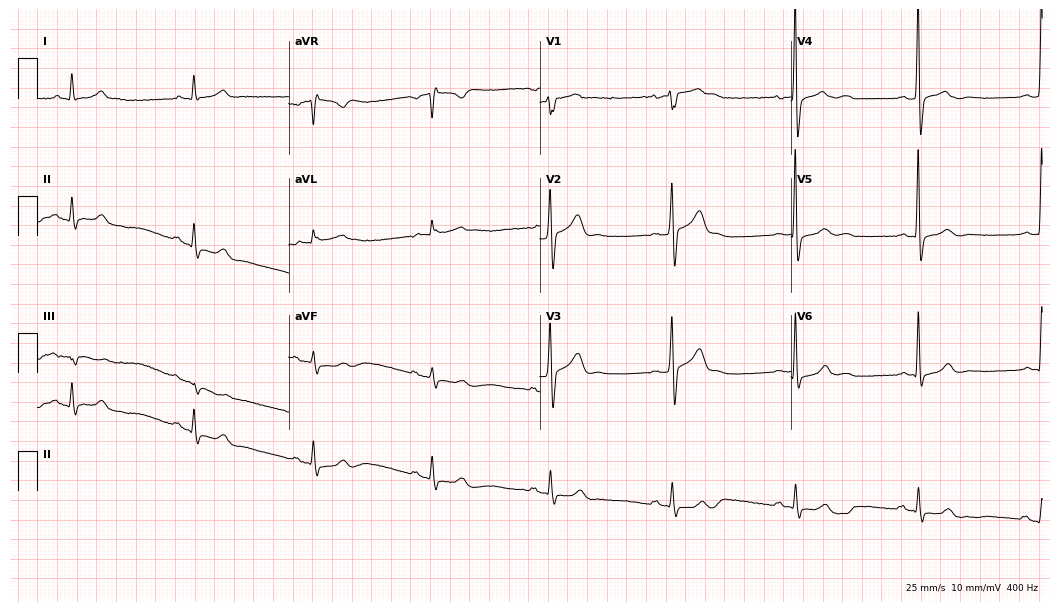
12-lead ECG from a male patient, 62 years old. Findings include sinus bradycardia (a sinus rate of 50 beats per minute or less).